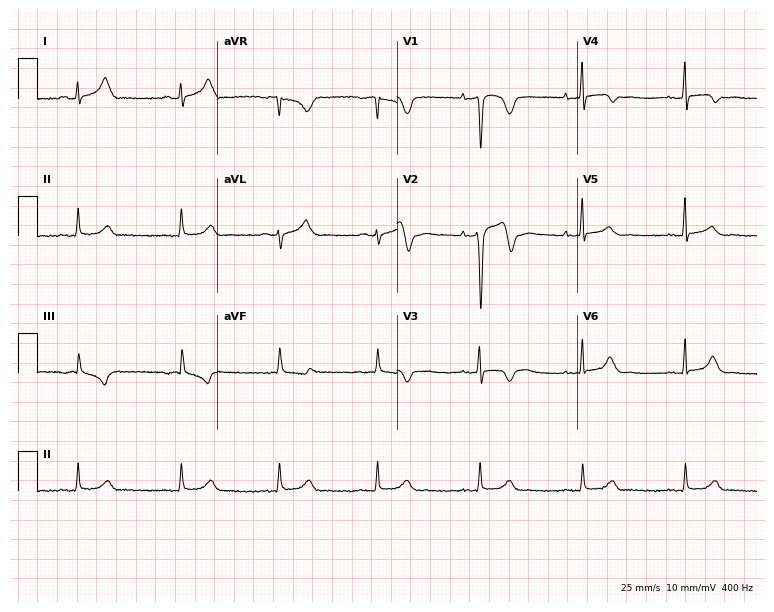
ECG (7.3-second recording at 400 Hz) — a male patient, 36 years old. Screened for six findings — first-degree AV block, right bundle branch block (RBBB), left bundle branch block (LBBB), sinus bradycardia, atrial fibrillation (AF), sinus tachycardia — none is recorded.